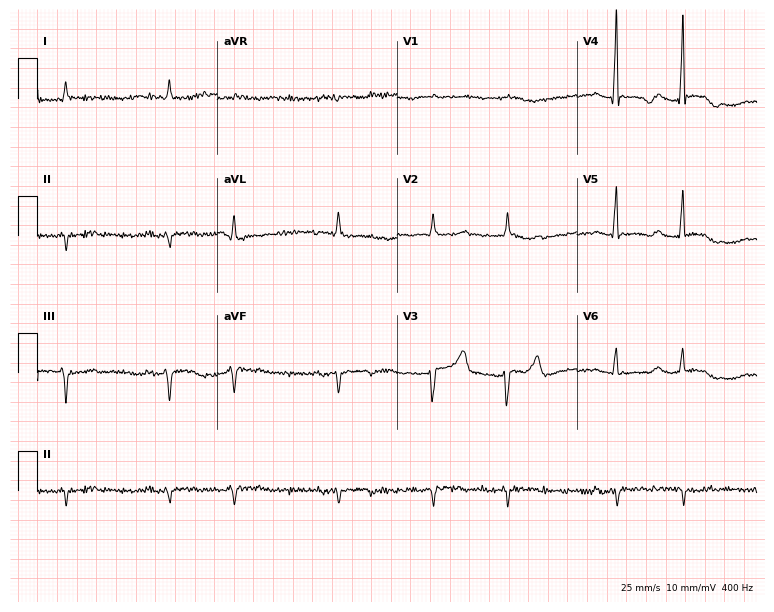
ECG — an 82-year-old female patient. Screened for six findings — first-degree AV block, right bundle branch block, left bundle branch block, sinus bradycardia, atrial fibrillation, sinus tachycardia — none is recorded.